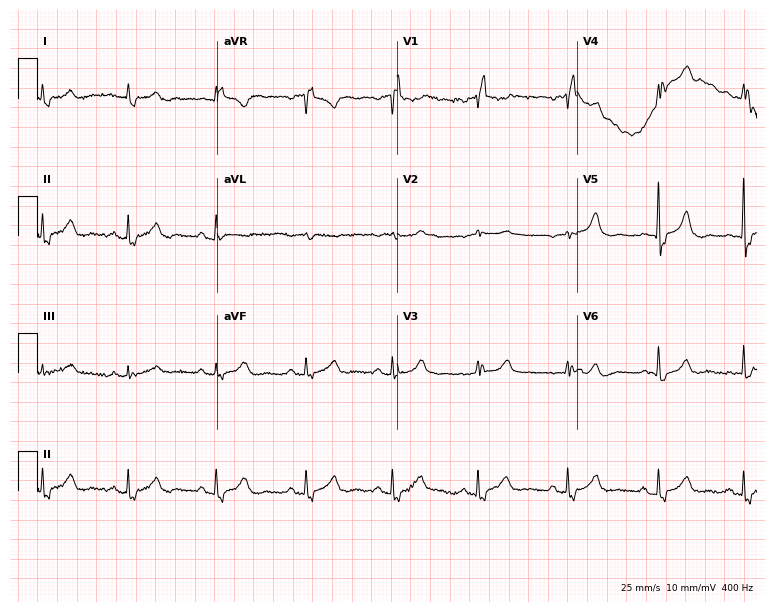
12-lead ECG from an 81-year-old male patient. Findings include right bundle branch block.